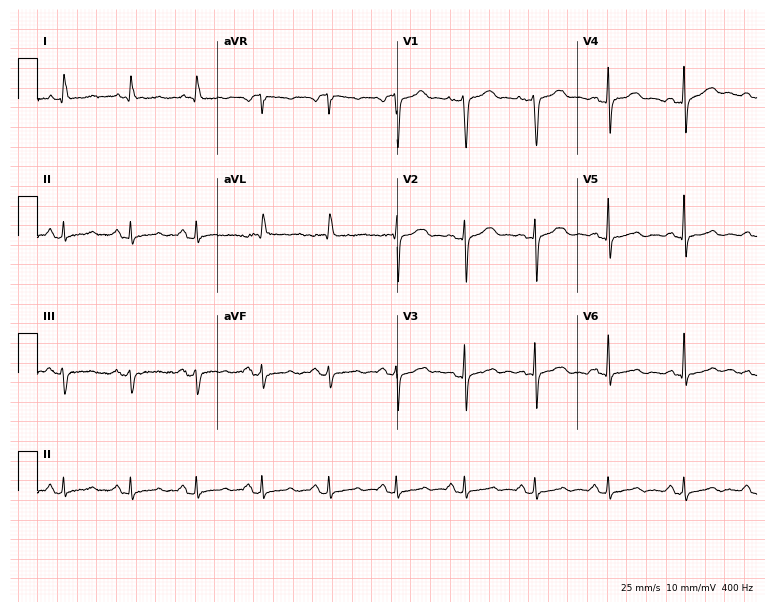
ECG (7.3-second recording at 400 Hz) — a 77-year-old man. Labelled as a normal ECG.